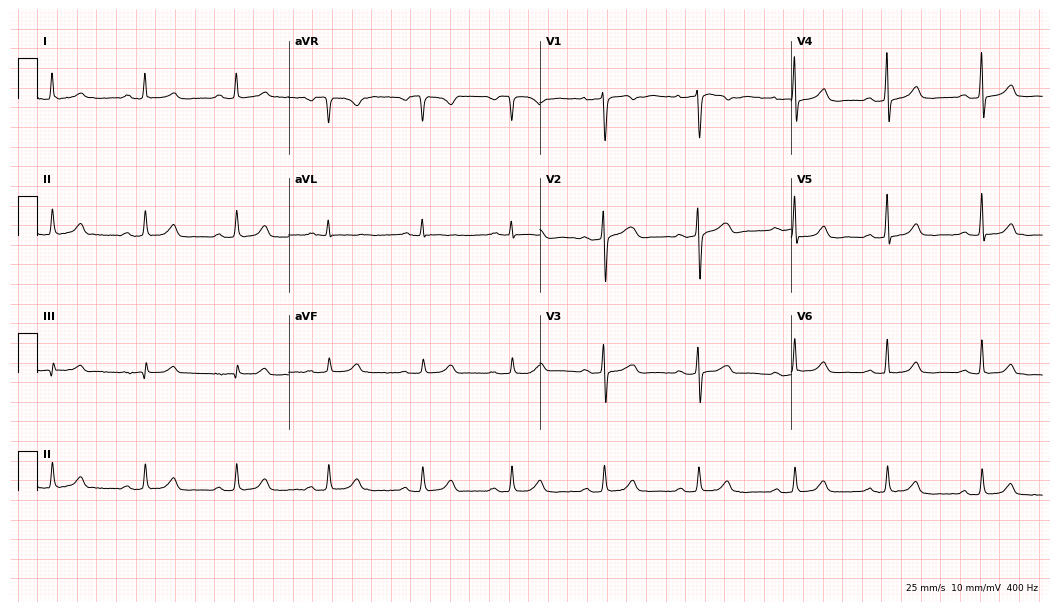
Standard 12-lead ECG recorded from a female, 52 years old (10.2-second recording at 400 Hz). The tracing shows first-degree AV block.